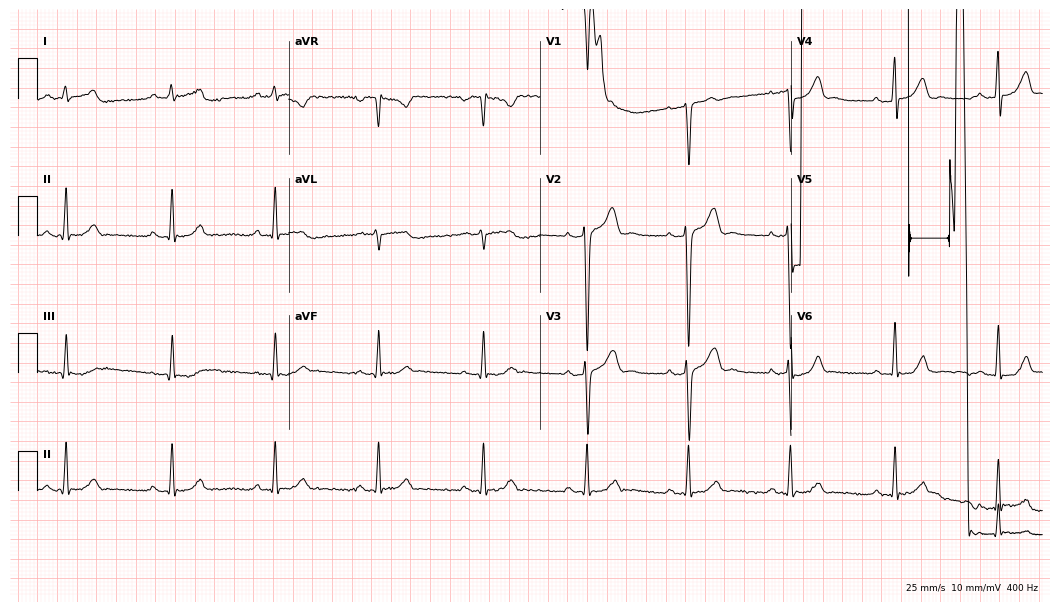
Resting 12-lead electrocardiogram. Patient: a 44-year-old male. Read as a normal ECG.